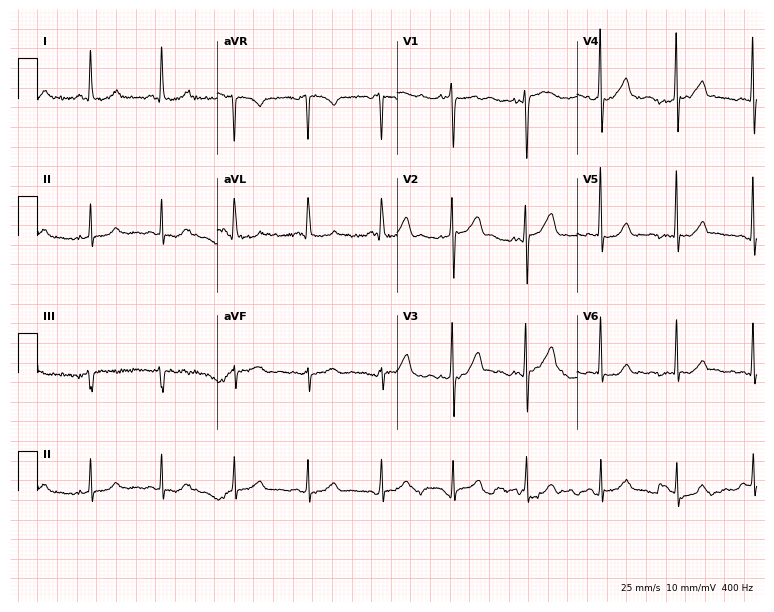
12-lead ECG from a 56-year-old female patient (7.3-second recording at 400 Hz). Recorded interpretation: within normal limits.